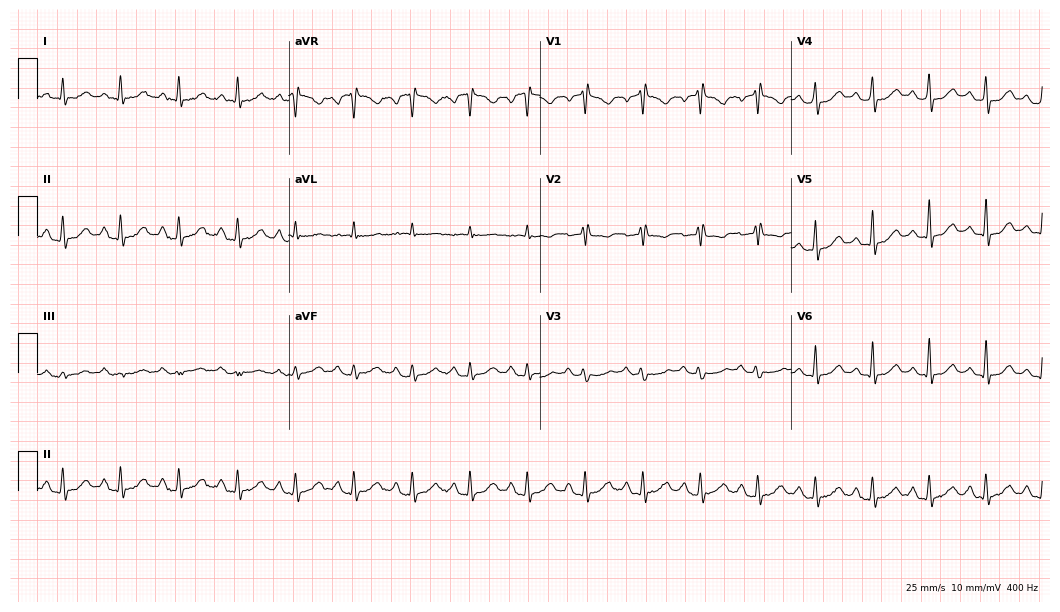
ECG — a 61-year-old female patient. Findings include sinus tachycardia (a sinus rate of 100 beats per minute or more).